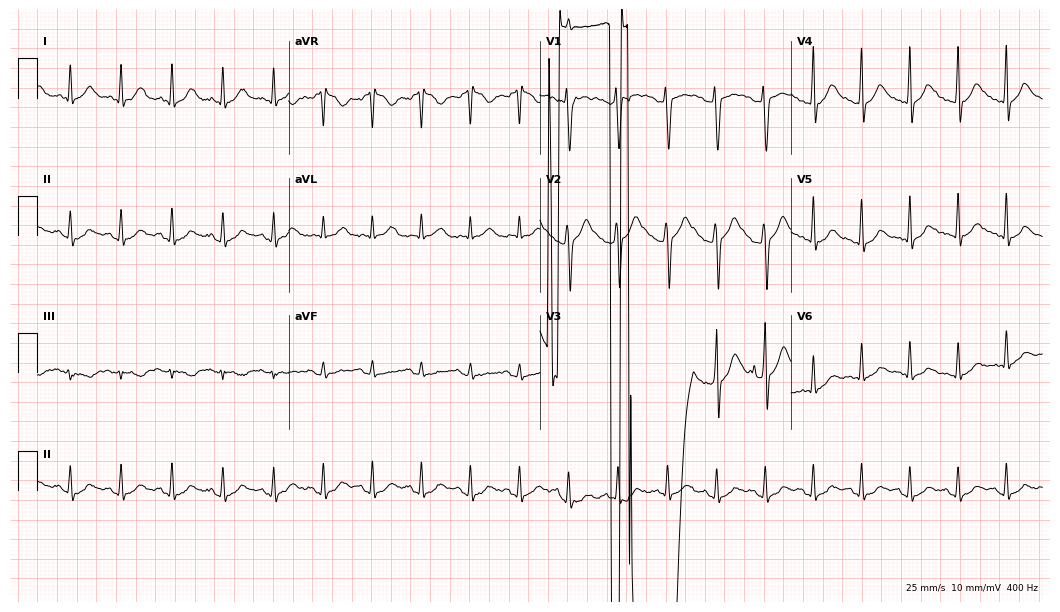
Resting 12-lead electrocardiogram (10.2-second recording at 400 Hz). Patient: a male, 36 years old. None of these six findings is recorded: first-degree AV block, right bundle branch block (RBBB), left bundle branch block (LBBB), sinus bradycardia, atrial fibrillation (AF), sinus tachycardia.